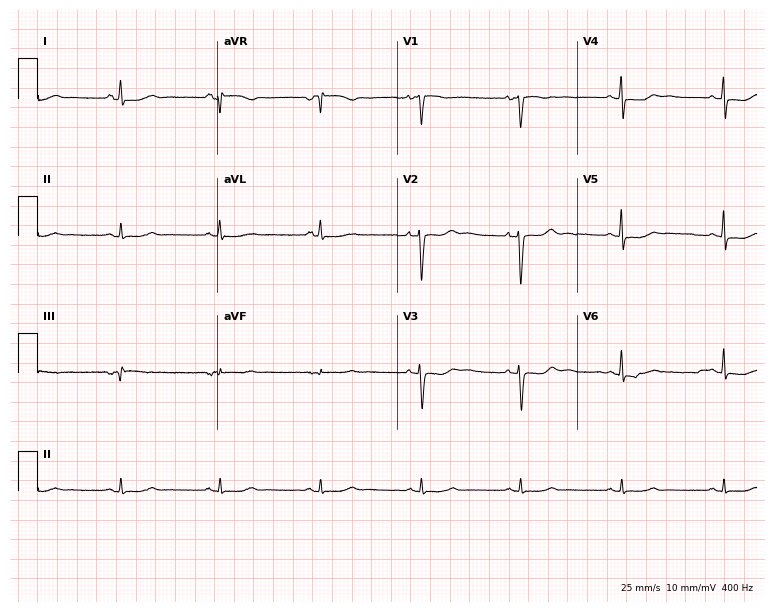
12-lead ECG from a 54-year-old female. No first-degree AV block, right bundle branch block (RBBB), left bundle branch block (LBBB), sinus bradycardia, atrial fibrillation (AF) or sinus tachycardia recorded for this tracing.